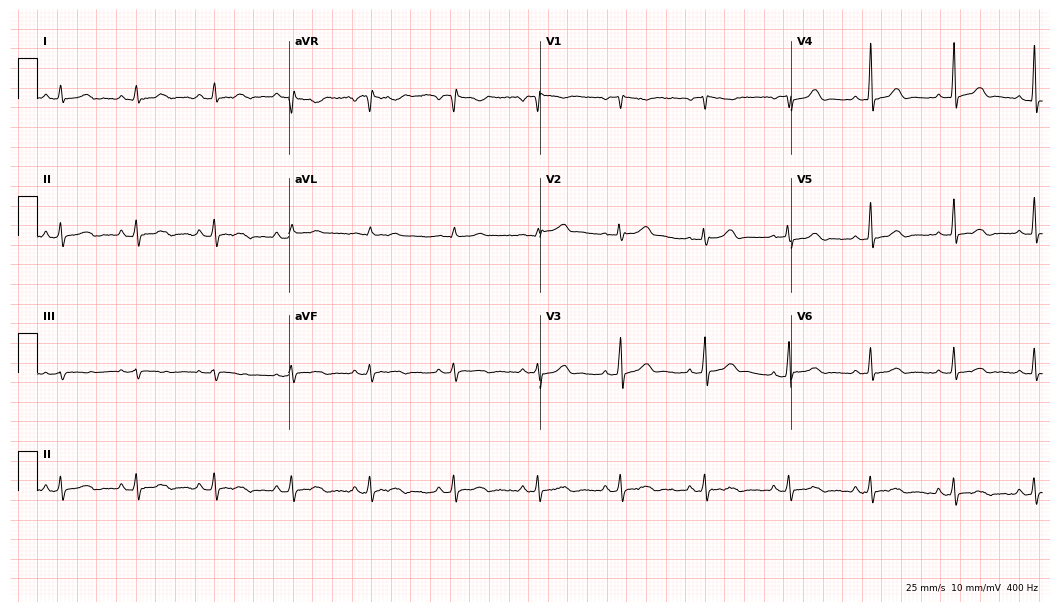
Resting 12-lead electrocardiogram. Patient: a 35-year-old female. None of these six findings is recorded: first-degree AV block, right bundle branch block, left bundle branch block, sinus bradycardia, atrial fibrillation, sinus tachycardia.